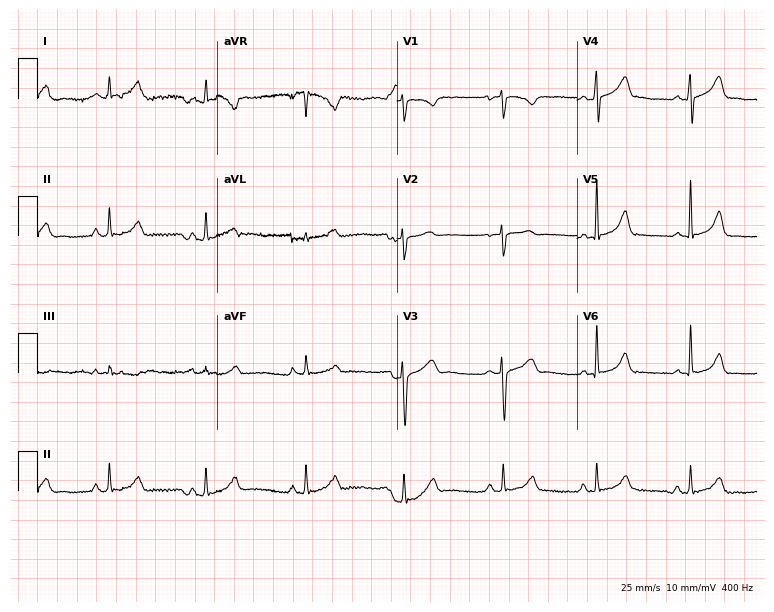
12-lead ECG (7.3-second recording at 400 Hz) from an 18-year-old female patient. Labelled as a normal ECG.